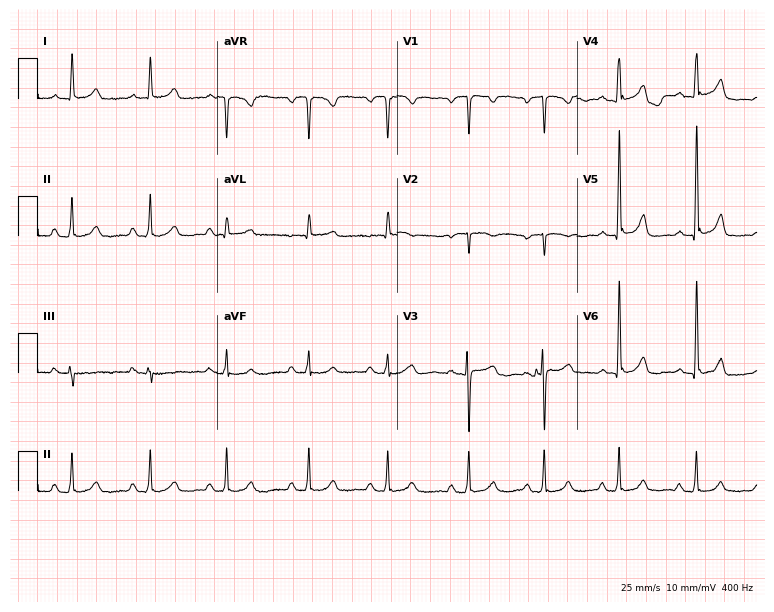
Resting 12-lead electrocardiogram (7.3-second recording at 400 Hz). Patient: a woman, 19 years old. Read as a normal ECG.